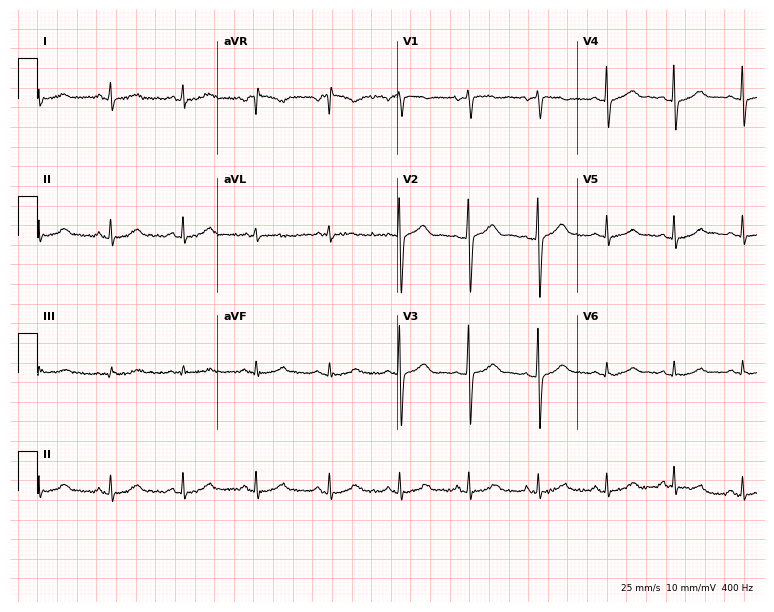
12-lead ECG (7.3-second recording at 400 Hz) from a 31-year-old female patient. Screened for six findings — first-degree AV block, right bundle branch block, left bundle branch block, sinus bradycardia, atrial fibrillation, sinus tachycardia — none is recorded.